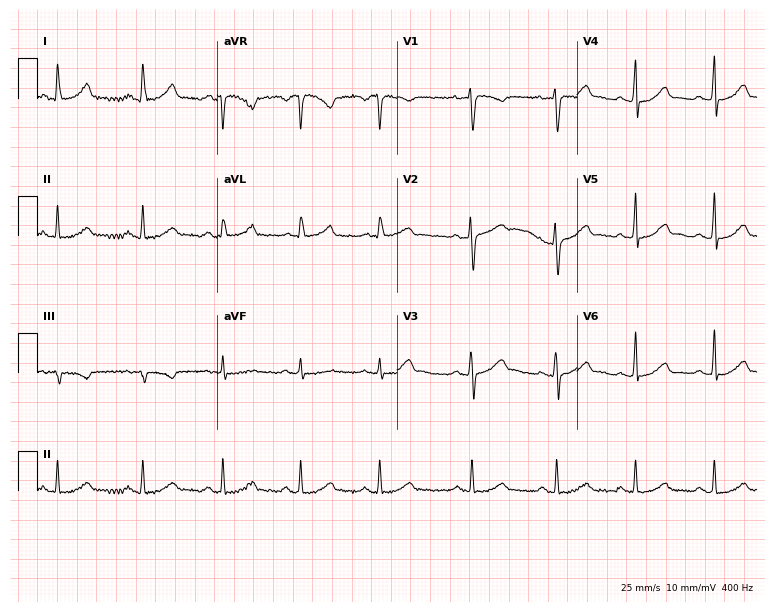
ECG — a woman, 34 years old. Labelled as a normal ECG.